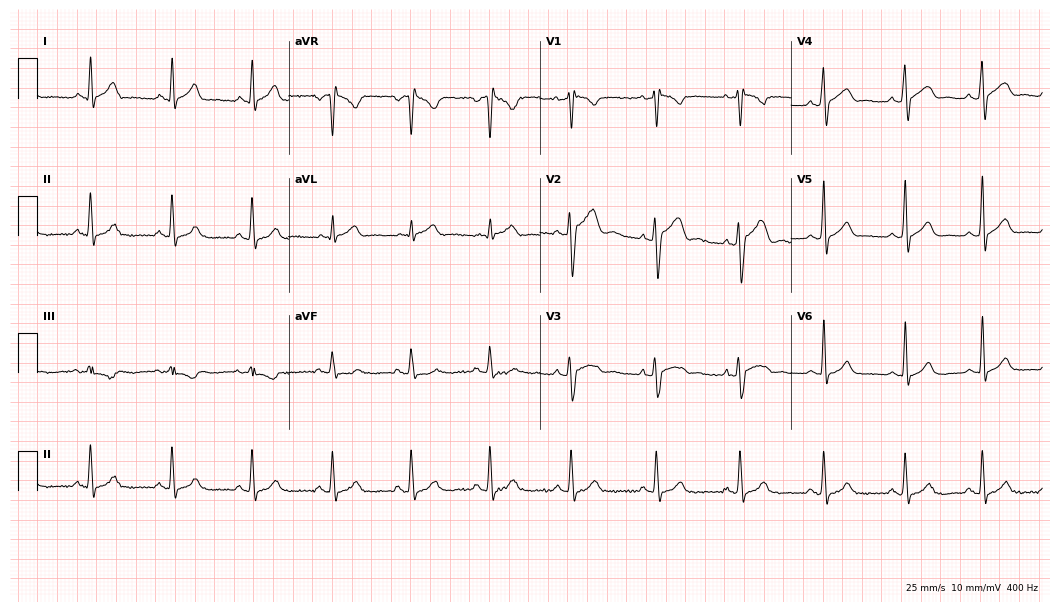
Electrocardiogram (10.2-second recording at 400 Hz), a male patient, 41 years old. Of the six screened findings (first-degree AV block, right bundle branch block (RBBB), left bundle branch block (LBBB), sinus bradycardia, atrial fibrillation (AF), sinus tachycardia), none is recorded.